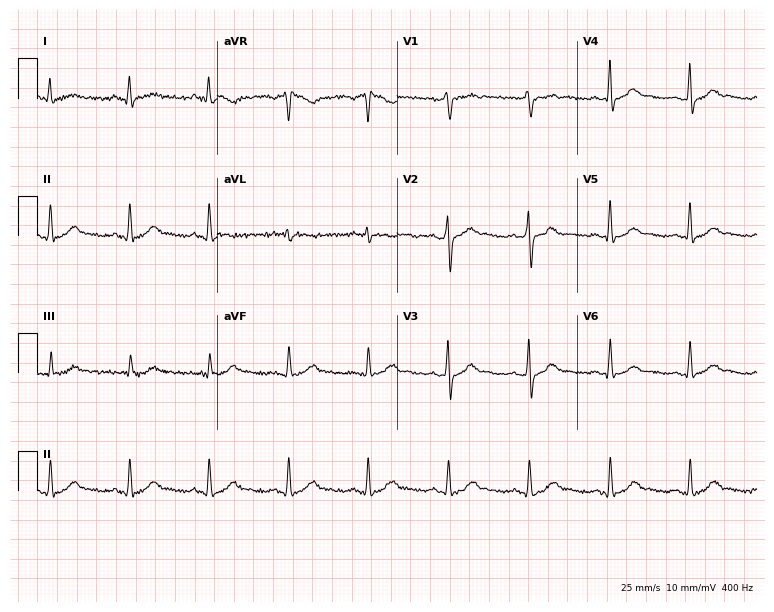
Resting 12-lead electrocardiogram. Patient: a 40-year-old male. Read as a normal ECG.